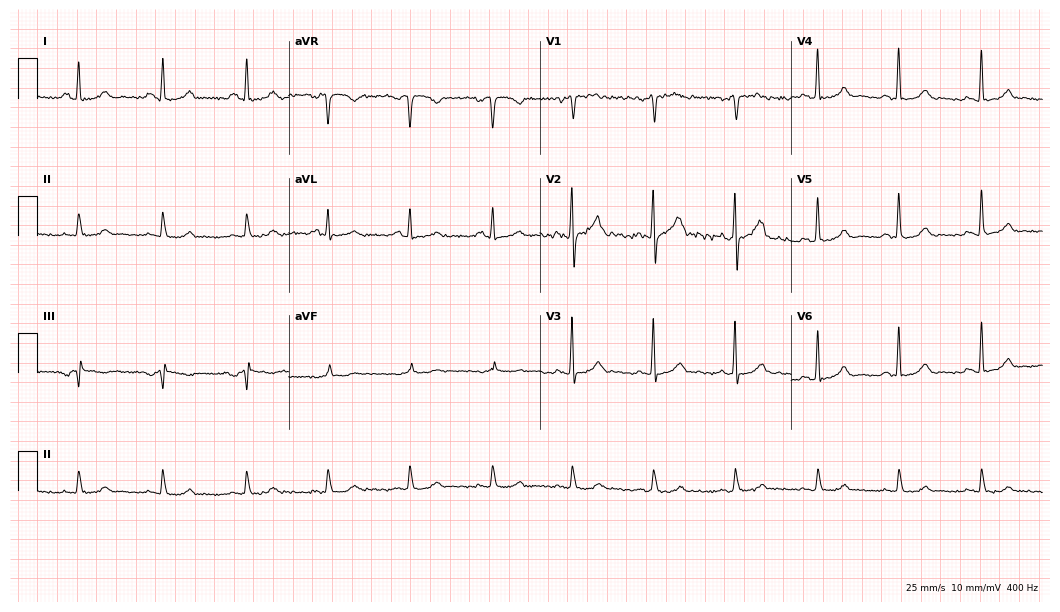
Resting 12-lead electrocardiogram. Patient: a male, 40 years old. Read as a normal ECG.